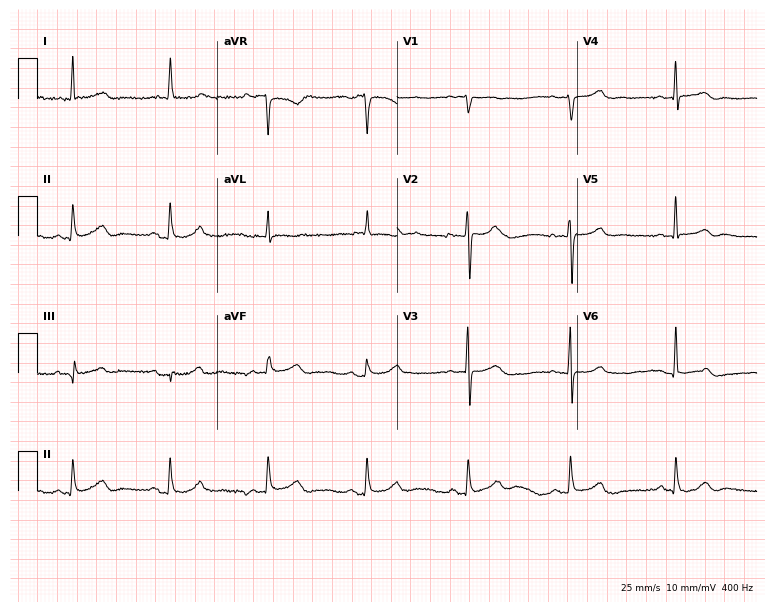
Resting 12-lead electrocardiogram. Patient: a woman, 85 years old. Read as a normal ECG.